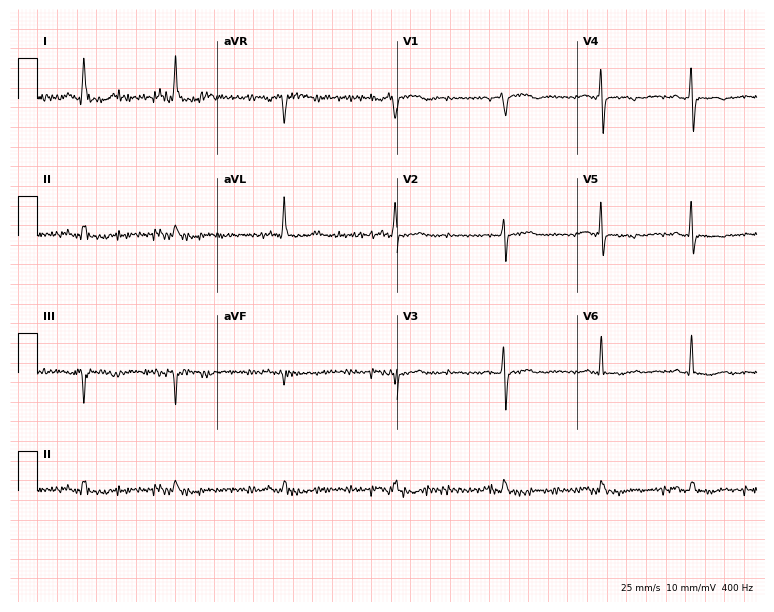
Electrocardiogram (7.3-second recording at 400 Hz), a female, 74 years old. Of the six screened findings (first-degree AV block, right bundle branch block, left bundle branch block, sinus bradycardia, atrial fibrillation, sinus tachycardia), none is recorded.